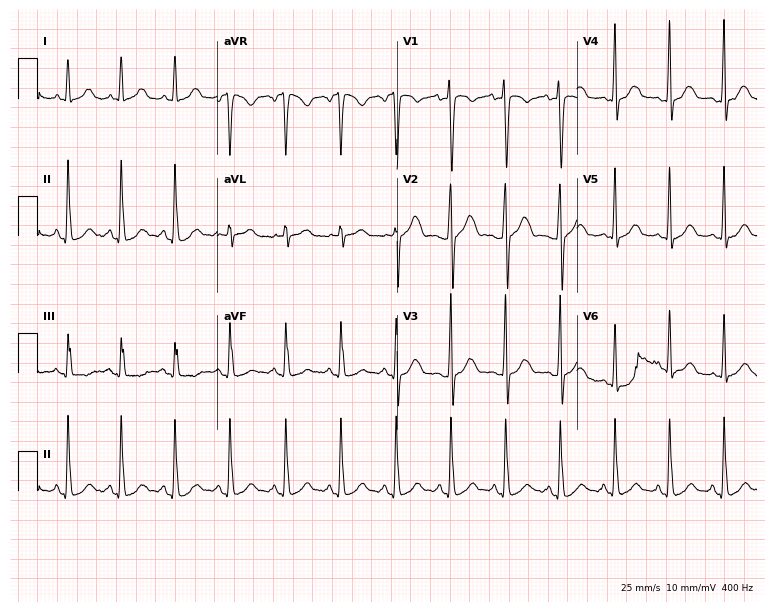
Resting 12-lead electrocardiogram. Patient: a female, 23 years old. The tracing shows sinus tachycardia (a sinus rate of 100 beats per minute or more).